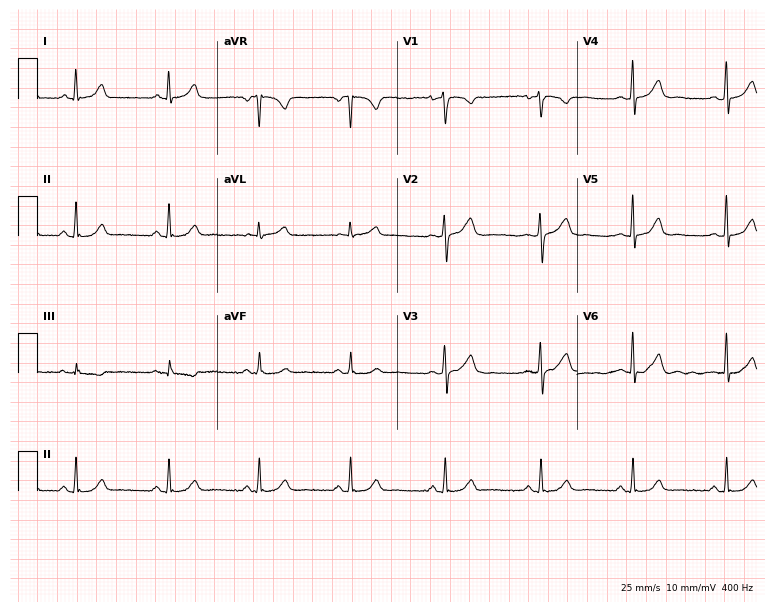
Resting 12-lead electrocardiogram (7.3-second recording at 400 Hz). Patient: a woman, 46 years old. None of these six findings is recorded: first-degree AV block, right bundle branch block, left bundle branch block, sinus bradycardia, atrial fibrillation, sinus tachycardia. Other findings, if any, are not listed.